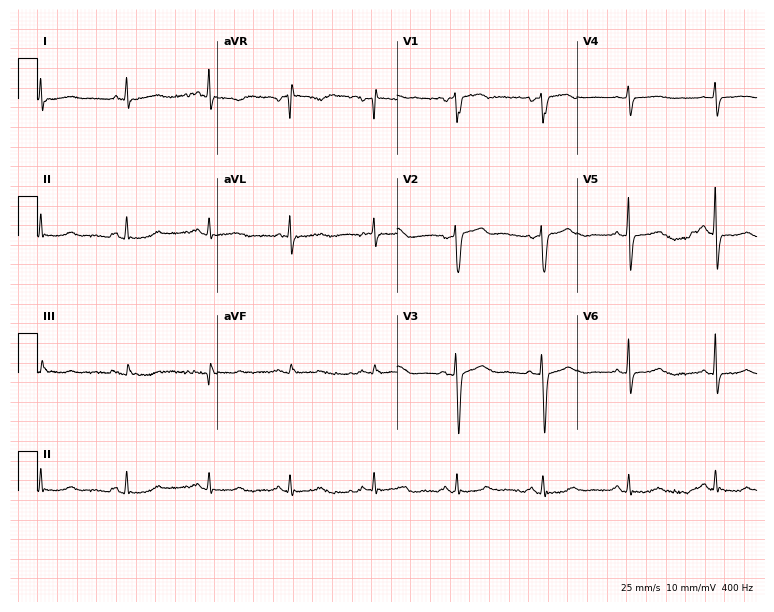
Standard 12-lead ECG recorded from a female patient, 71 years old (7.3-second recording at 400 Hz). None of these six findings is recorded: first-degree AV block, right bundle branch block, left bundle branch block, sinus bradycardia, atrial fibrillation, sinus tachycardia.